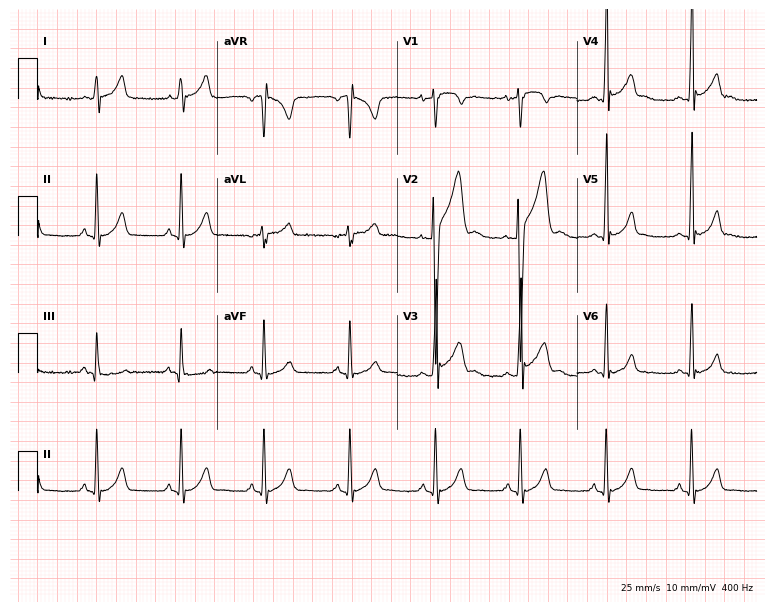
12-lead ECG (7.3-second recording at 400 Hz) from a male patient, 19 years old. Labelled as a normal ECG.